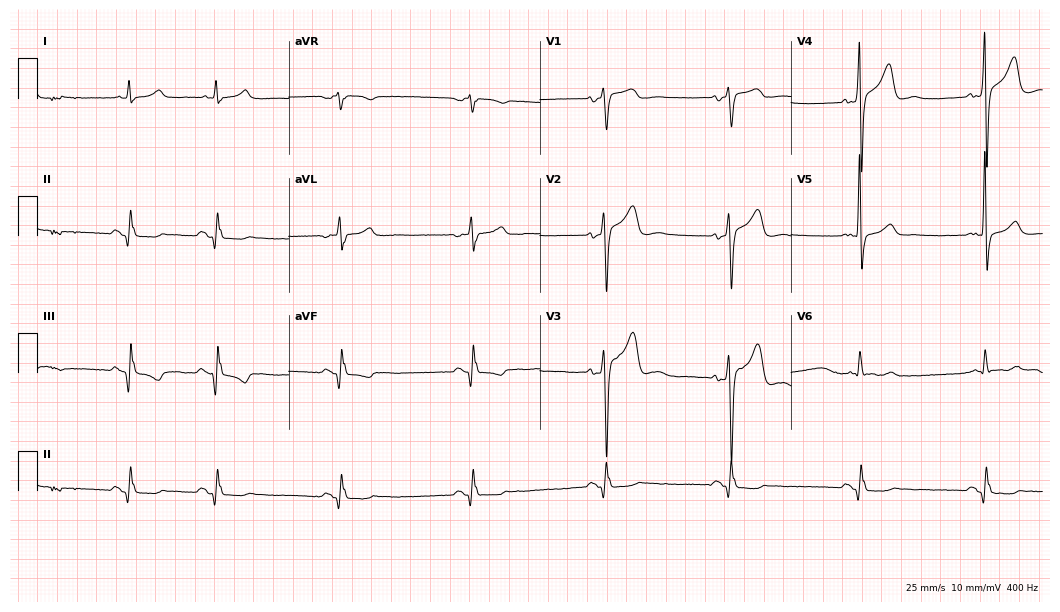
Standard 12-lead ECG recorded from a male, 64 years old (10.2-second recording at 400 Hz). None of these six findings is recorded: first-degree AV block, right bundle branch block (RBBB), left bundle branch block (LBBB), sinus bradycardia, atrial fibrillation (AF), sinus tachycardia. Only these six findings were labelled.